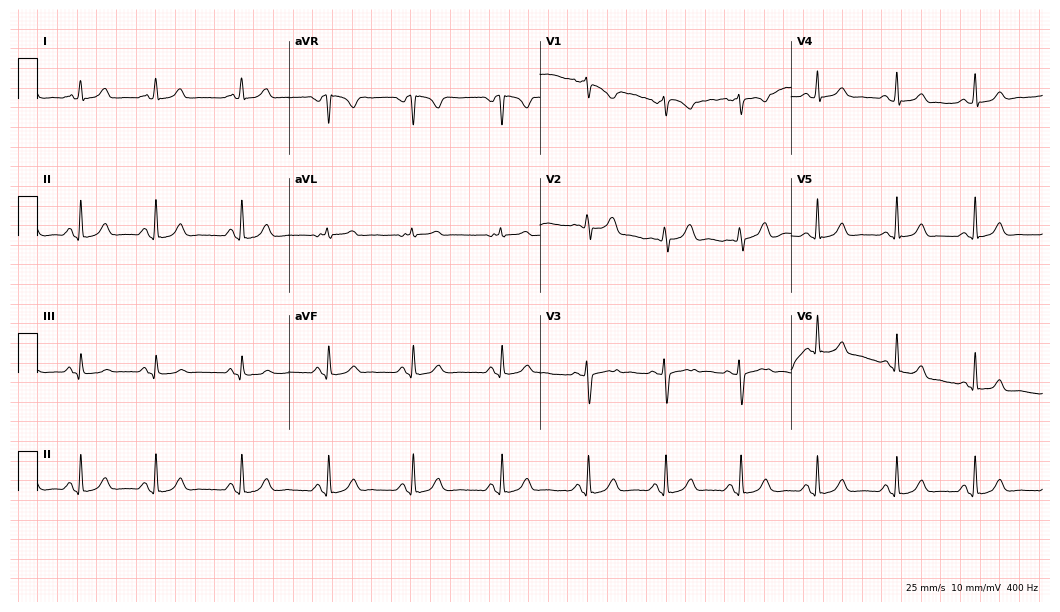
12-lead ECG (10.2-second recording at 400 Hz) from a 19-year-old female patient. Labelled as a normal ECG.